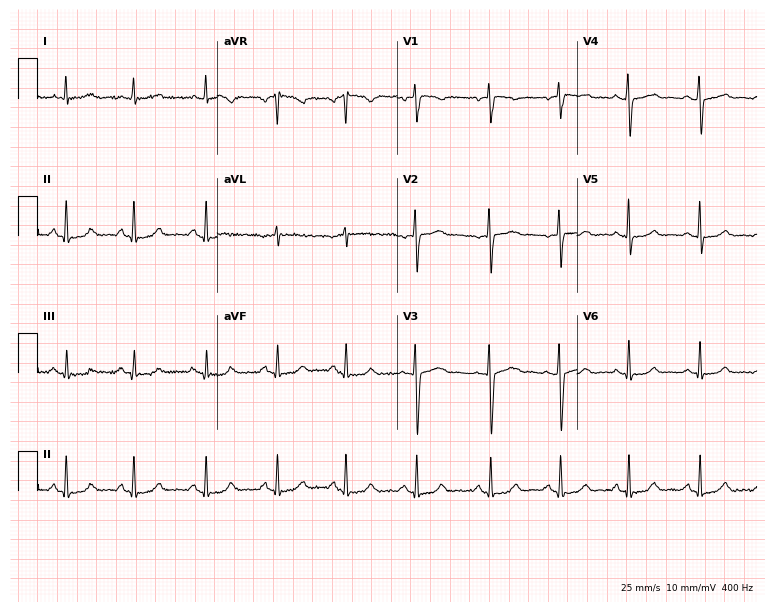
ECG — a 39-year-old woman. Screened for six findings — first-degree AV block, right bundle branch block (RBBB), left bundle branch block (LBBB), sinus bradycardia, atrial fibrillation (AF), sinus tachycardia — none is recorded.